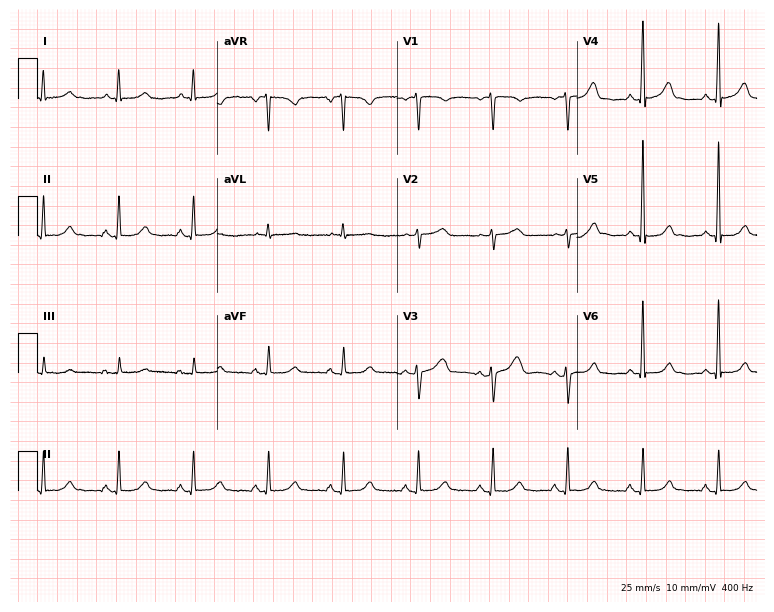
ECG (7.3-second recording at 400 Hz) — a female, 59 years old. Labelled as a normal ECG.